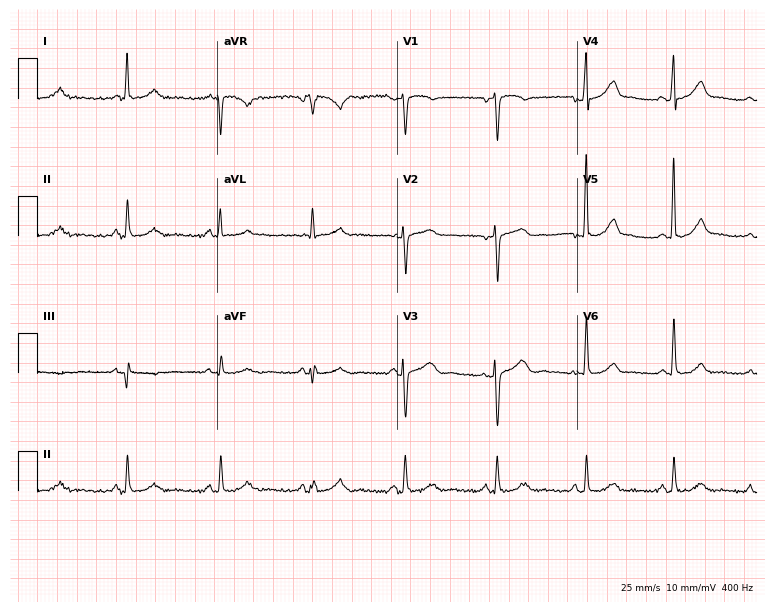
12-lead ECG from a 47-year-old woman (7.3-second recording at 400 Hz). Recorded interpretation: within normal limits.